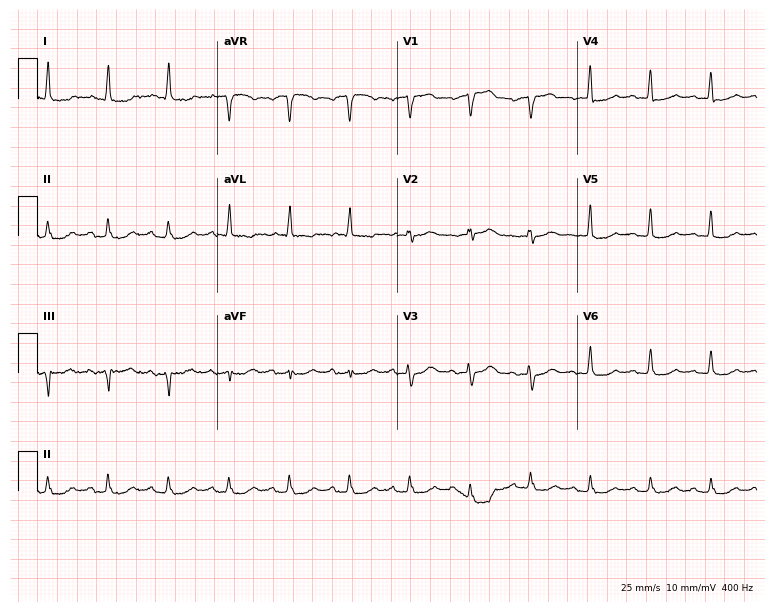
12-lead ECG from a female, 75 years old (7.3-second recording at 400 Hz). No first-degree AV block, right bundle branch block, left bundle branch block, sinus bradycardia, atrial fibrillation or sinus tachycardia recorded for this tracing.